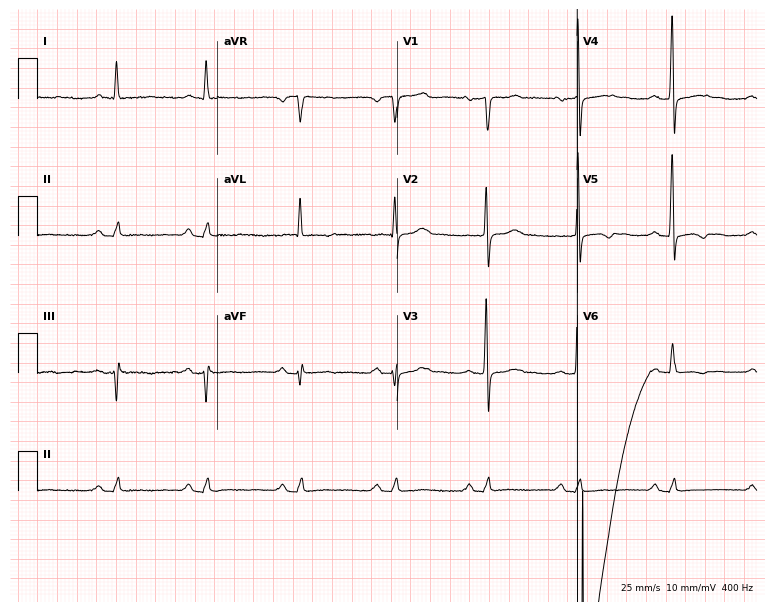
12-lead ECG (7.3-second recording at 400 Hz) from a 67-year-old female. Screened for six findings — first-degree AV block, right bundle branch block, left bundle branch block, sinus bradycardia, atrial fibrillation, sinus tachycardia — none is recorded. Only these six findings were labelled.